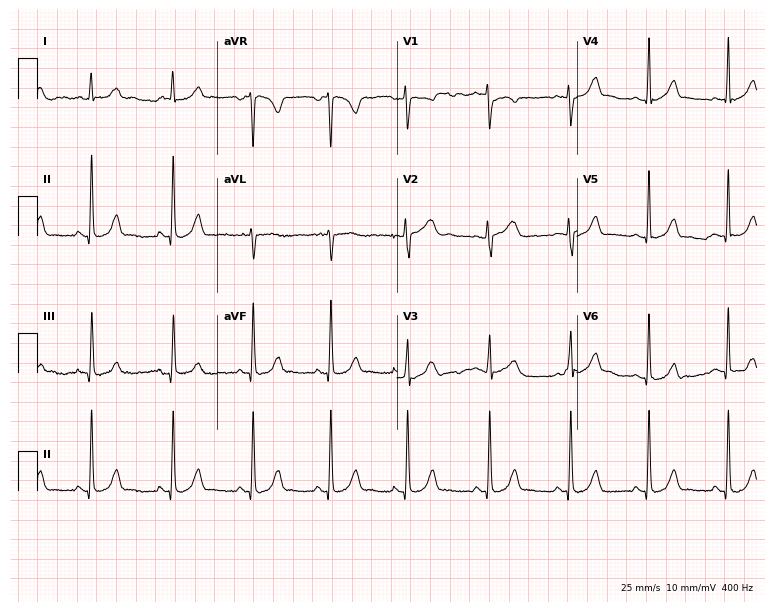
12-lead ECG from a female, 23 years old (7.3-second recording at 400 Hz). Recorded interpretation: within normal limits.